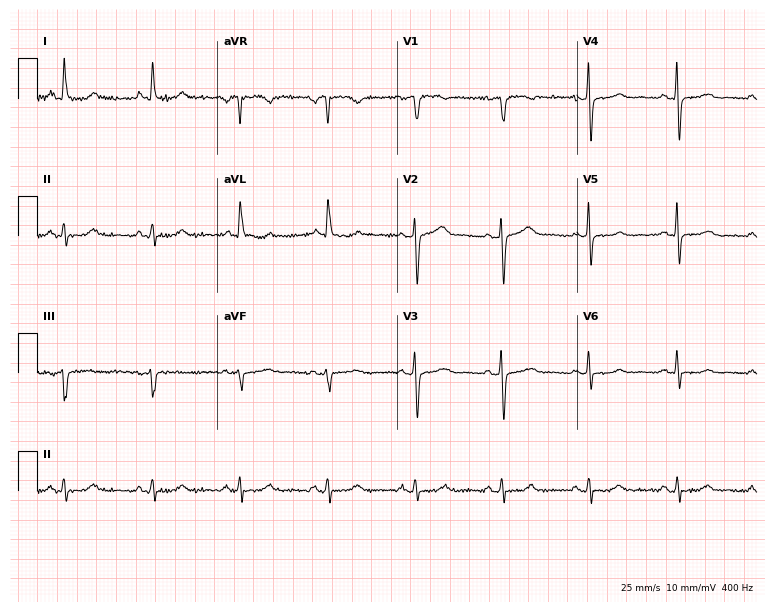
Resting 12-lead electrocardiogram (7.3-second recording at 400 Hz). Patient: a 61-year-old female. Read as a normal ECG.